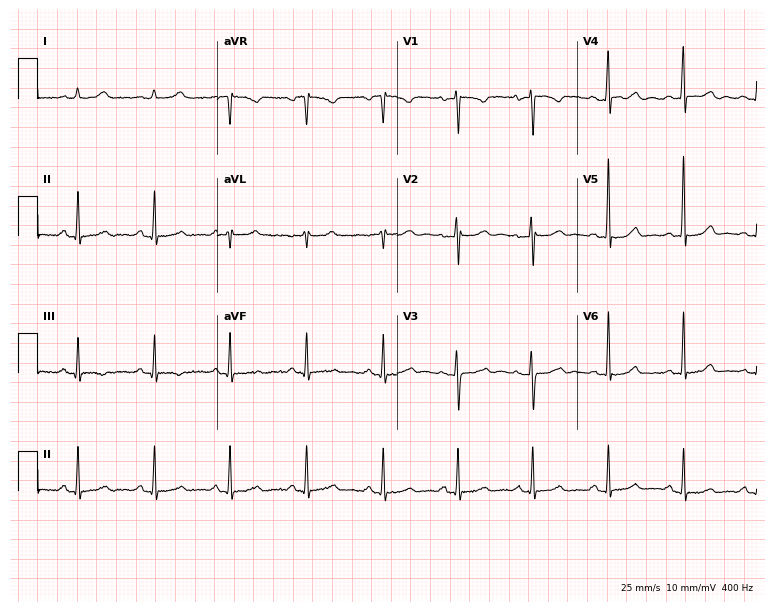
12-lead ECG (7.3-second recording at 400 Hz) from a female patient, 40 years old. Screened for six findings — first-degree AV block, right bundle branch block (RBBB), left bundle branch block (LBBB), sinus bradycardia, atrial fibrillation (AF), sinus tachycardia — none is recorded. Findings outside these six are not listed.